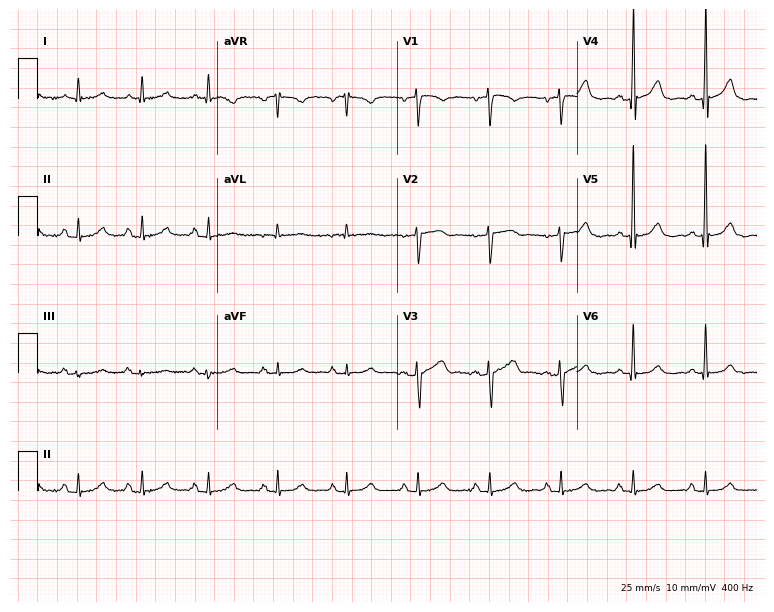
Electrocardiogram, a man, 57 years old. Overall reading on record: normal ECG.